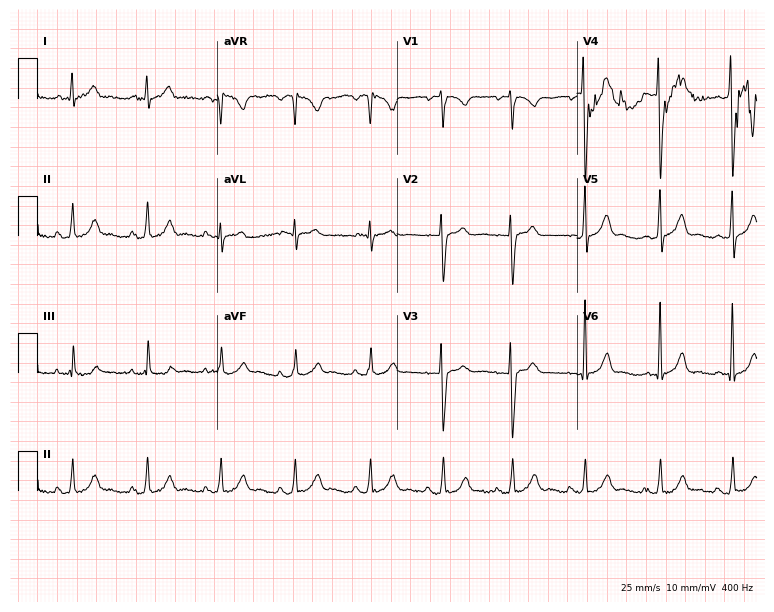
12-lead ECG (7.3-second recording at 400 Hz) from an 18-year-old man. Screened for six findings — first-degree AV block, right bundle branch block, left bundle branch block, sinus bradycardia, atrial fibrillation, sinus tachycardia — none is recorded. Other findings, if any, are not listed.